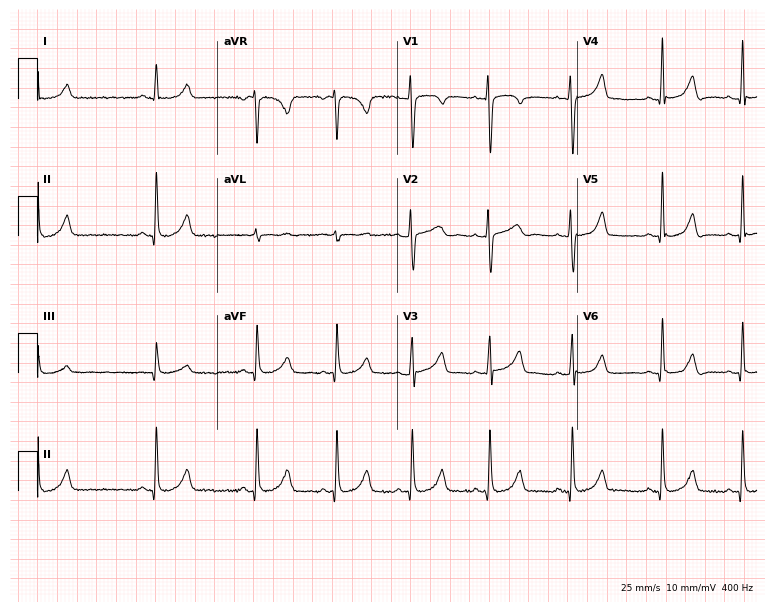
Standard 12-lead ECG recorded from a female patient, 31 years old (7.3-second recording at 400 Hz). None of these six findings is recorded: first-degree AV block, right bundle branch block, left bundle branch block, sinus bradycardia, atrial fibrillation, sinus tachycardia.